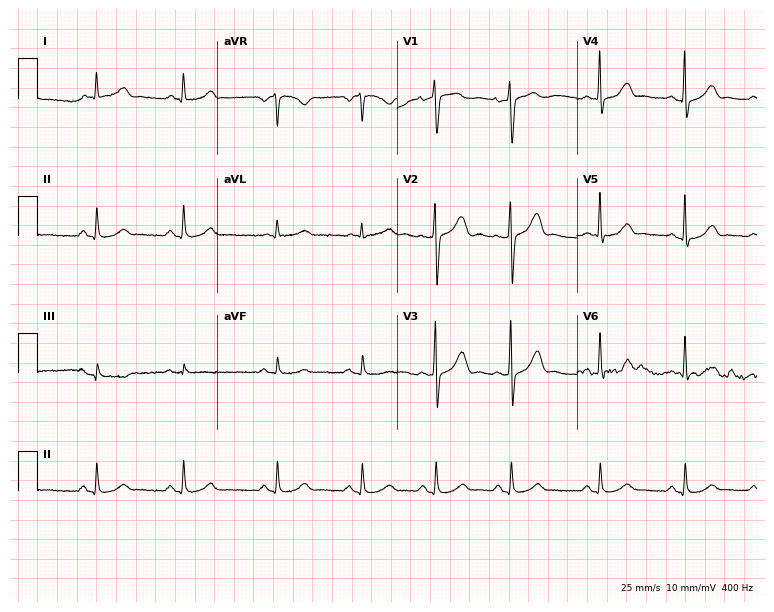
12-lead ECG from a 34-year-old female patient. Recorded interpretation: within normal limits.